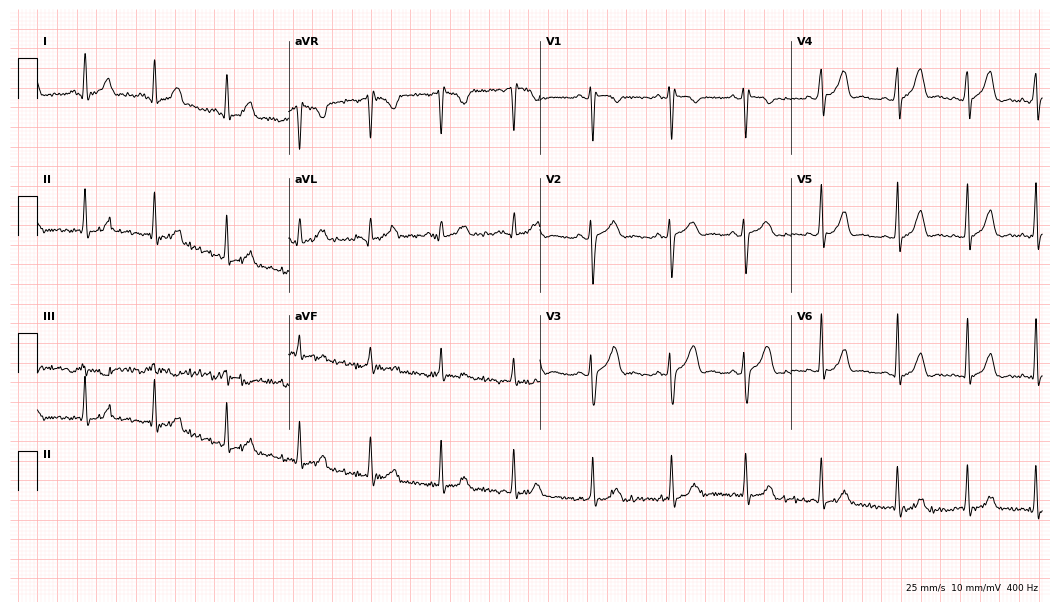
ECG (10.2-second recording at 400 Hz) — a 21-year-old female. Labelled as a normal ECG.